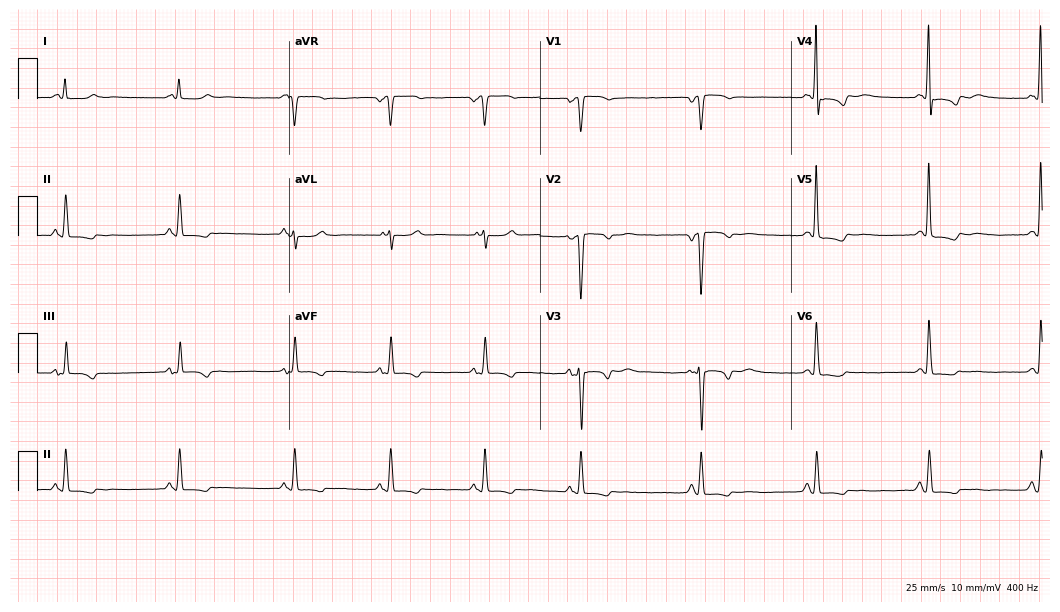
Electrocardiogram, a female patient, 78 years old. Of the six screened findings (first-degree AV block, right bundle branch block, left bundle branch block, sinus bradycardia, atrial fibrillation, sinus tachycardia), none is recorded. Other findings, if any, are not listed.